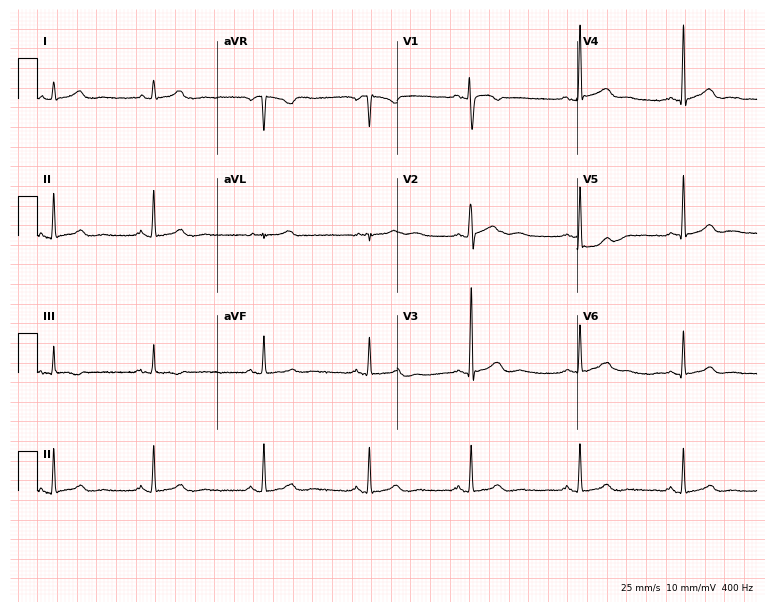
ECG — a female patient, 27 years old. Labelled as a normal ECG.